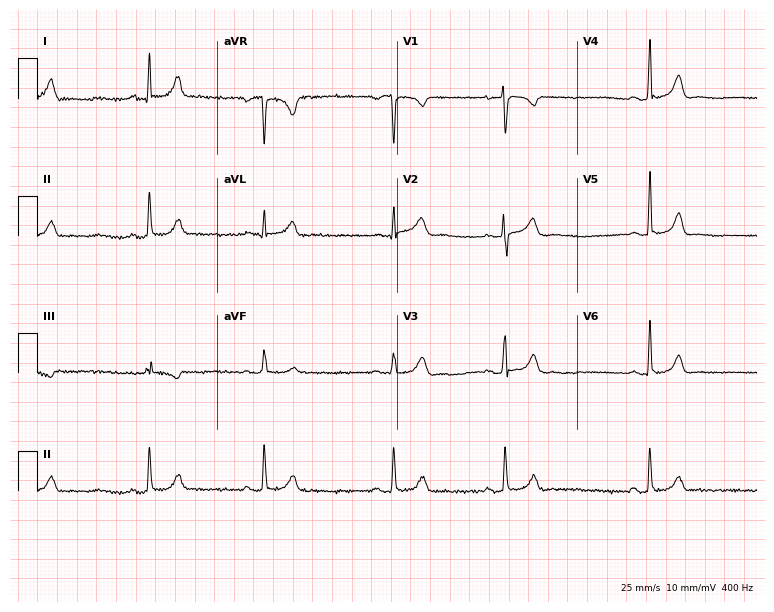
ECG (7.3-second recording at 400 Hz) — a 34-year-old female patient. Screened for six findings — first-degree AV block, right bundle branch block (RBBB), left bundle branch block (LBBB), sinus bradycardia, atrial fibrillation (AF), sinus tachycardia — none is recorded.